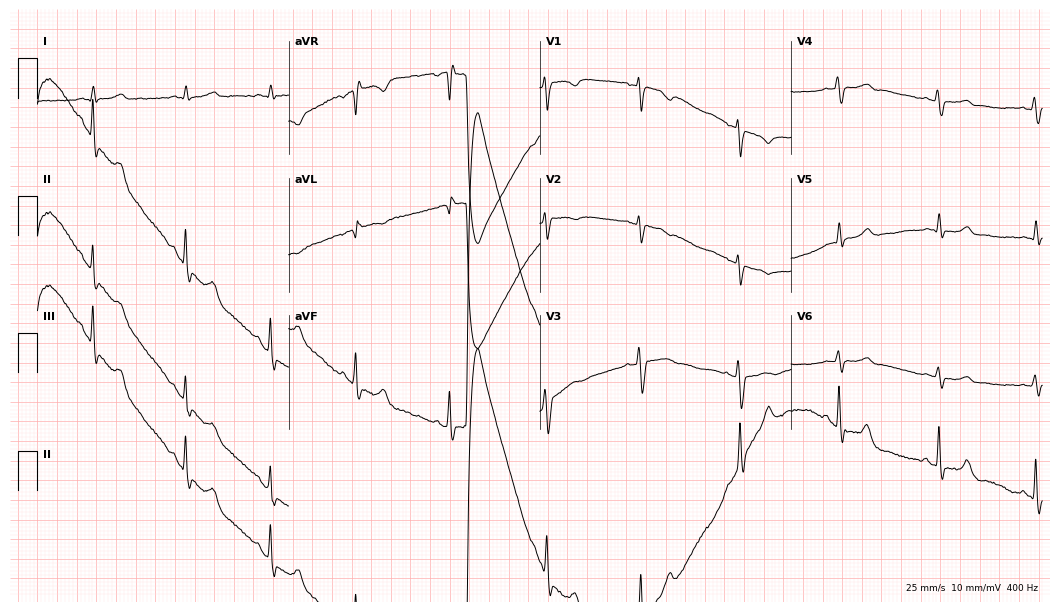
Resting 12-lead electrocardiogram (10.2-second recording at 400 Hz). Patient: a 19-year-old man. None of these six findings is recorded: first-degree AV block, right bundle branch block, left bundle branch block, sinus bradycardia, atrial fibrillation, sinus tachycardia.